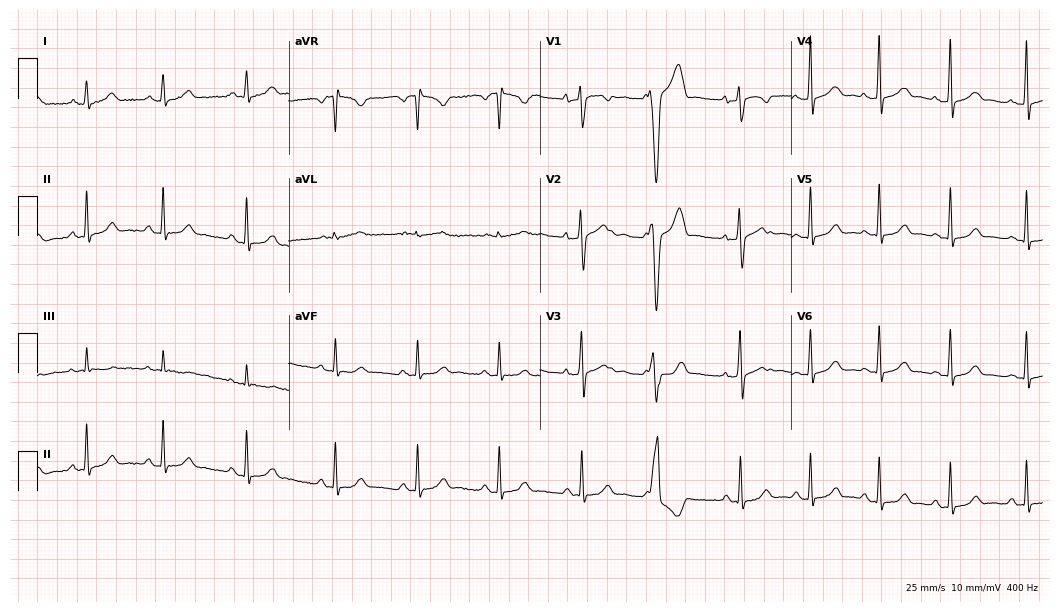
Electrocardiogram, a 24-year-old female. Overall reading on record: normal ECG.